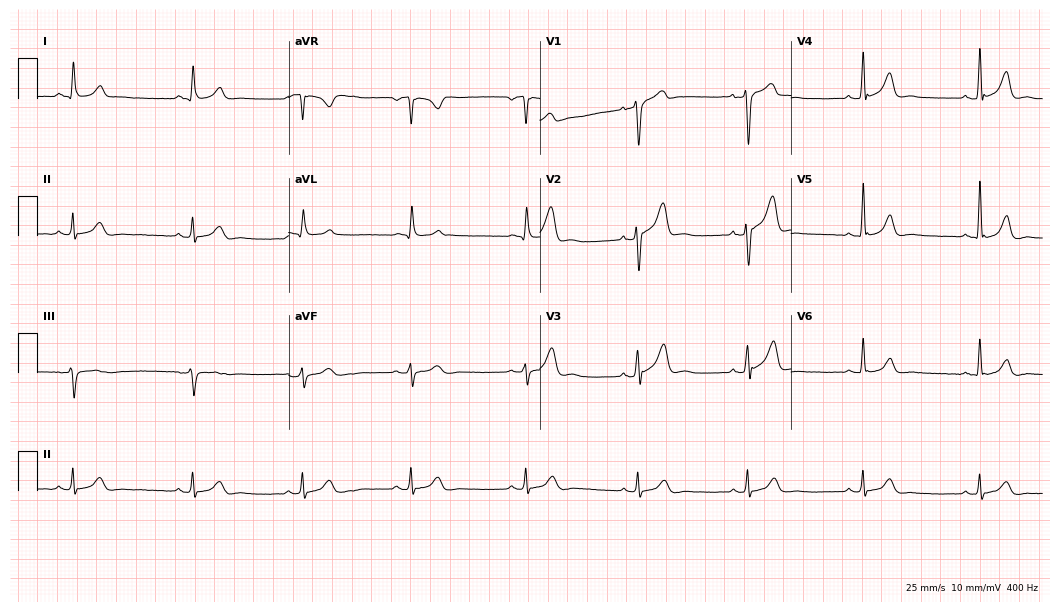
ECG (10.2-second recording at 400 Hz) — a male patient, 55 years old. Labelled as a normal ECG.